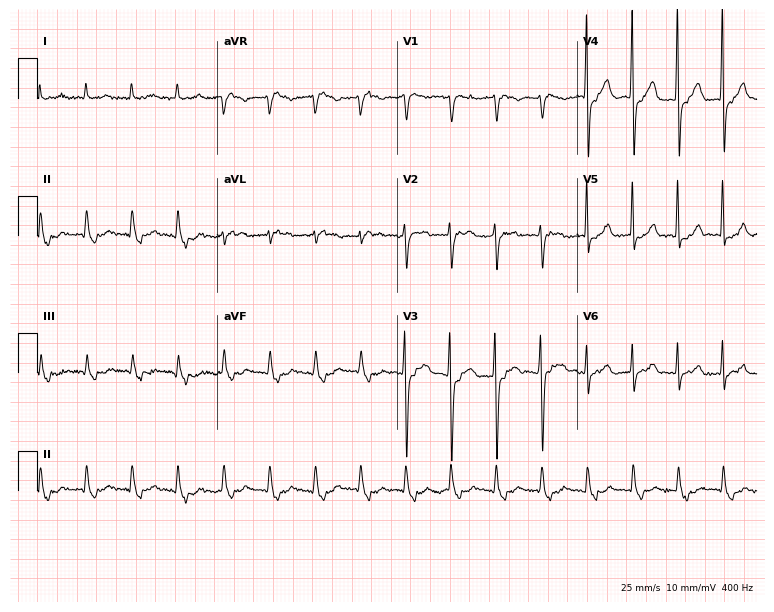
12-lead ECG from a 67-year-old female. No first-degree AV block, right bundle branch block, left bundle branch block, sinus bradycardia, atrial fibrillation or sinus tachycardia recorded for this tracing. Only these six findings were labelled.